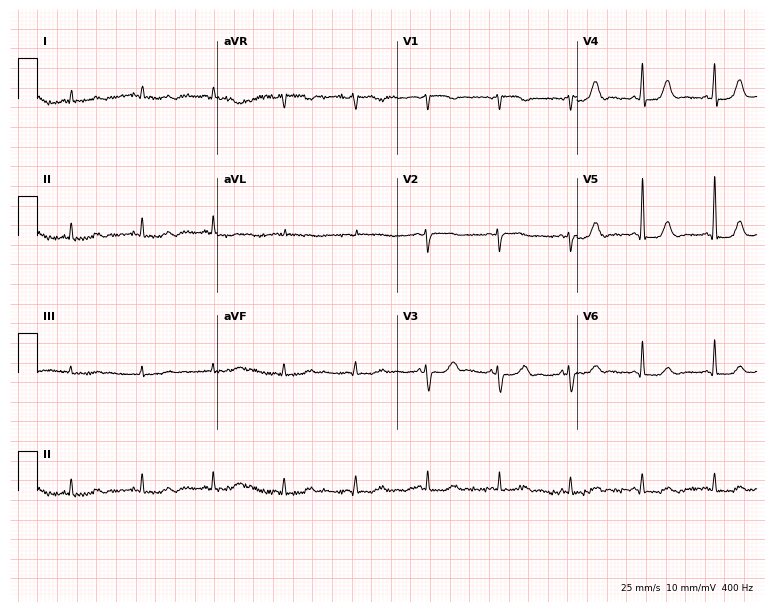
12-lead ECG from a 78-year-old female patient. No first-degree AV block, right bundle branch block (RBBB), left bundle branch block (LBBB), sinus bradycardia, atrial fibrillation (AF) or sinus tachycardia recorded for this tracing.